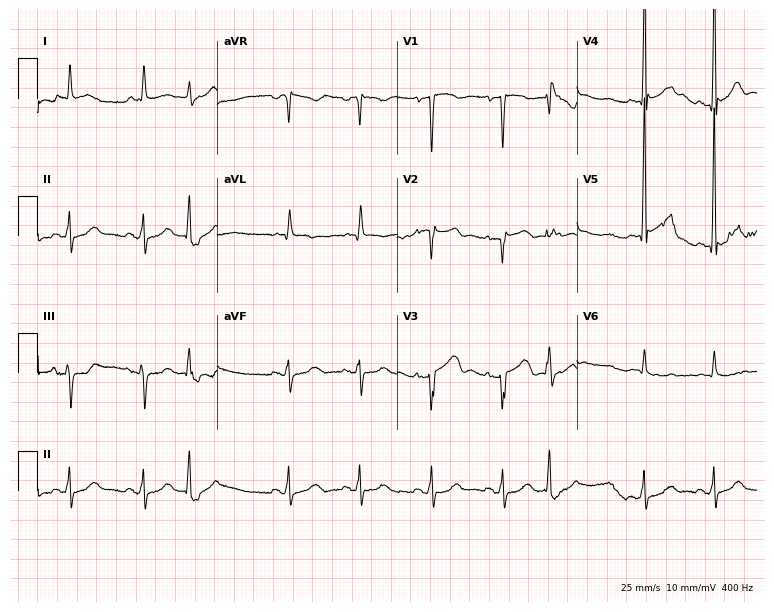
Resting 12-lead electrocardiogram. Patient: a male, 72 years old. None of these six findings is recorded: first-degree AV block, right bundle branch block, left bundle branch block, sinus bradycardia, atrial fibrillation, sinus tachycardia.